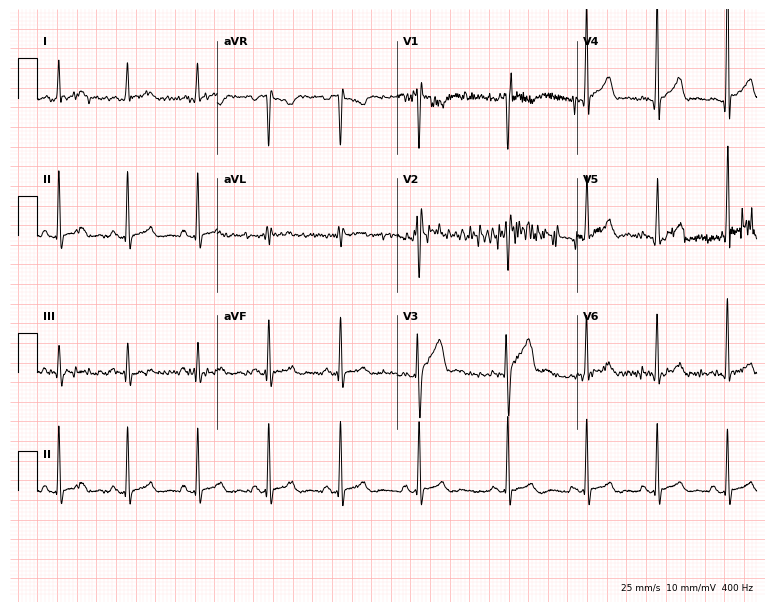
12-lead ECG from a 23-year-old man (7.3-second recording at 400 Hz). No first-degree AV block, right bundle branch block, left bundle branch block, sinus bradycardia, atrial fibrillation or sinus tachycardia recorded for this tracing. Other findings, if any, are not listed.